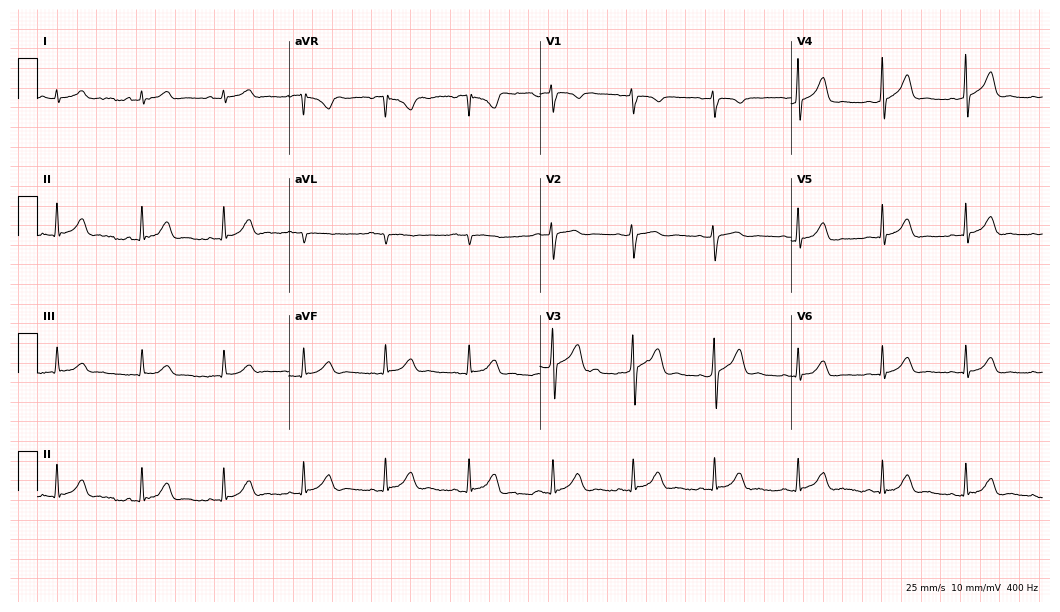
ECG — a woman, 30 years old. Labelled as a normal ECG.